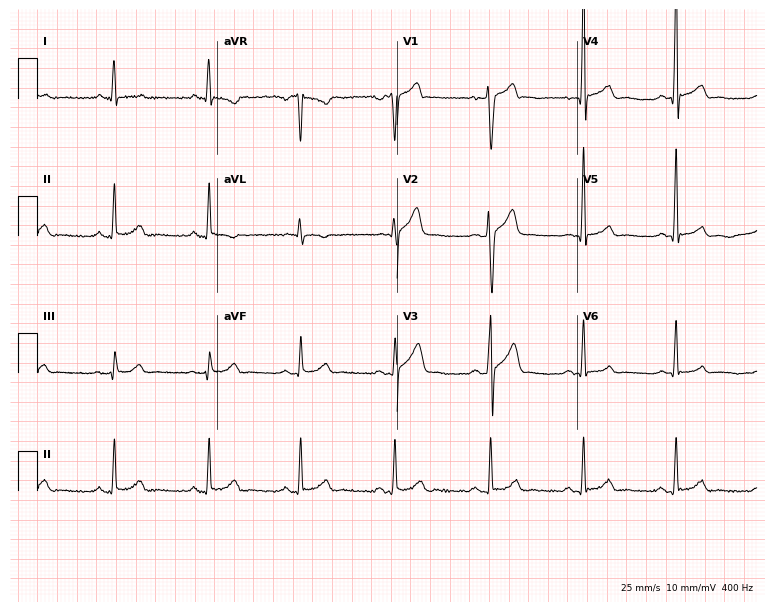
12-lead ECG from a 41-year-old man (7.3-second recording at 400 Hz). No first-degree AV block, right bundle branch block, left bundle branch block, sinus bradycardia, atrial fibrillation or sinus tachycardia recorded for this tracing.